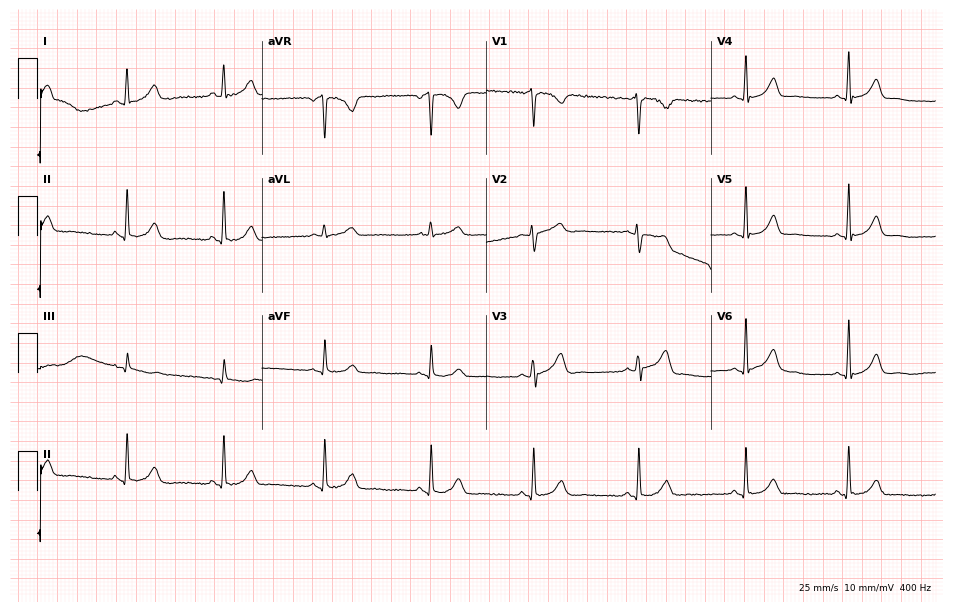
Resting 12-lead electrocardiogram. Patient: a female, 37 years old. Read as a normal ECG.